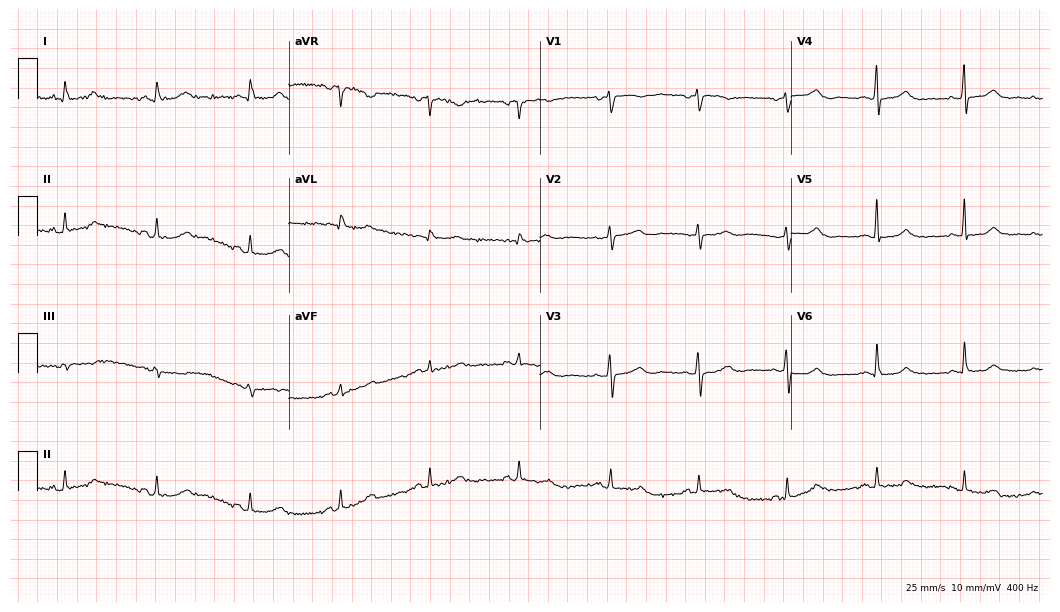
Electrocardiogram (10.2-second recording at 400 Hz), a female patient, 59 years old. Overall reading on record: normal ECG.